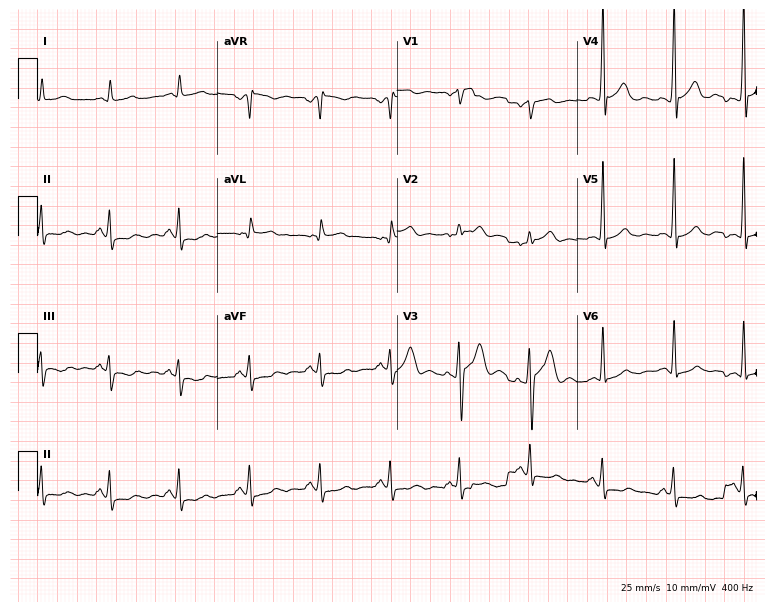
12-lead ECG from a male patient, 43 years old (7.3-second recording at 400 Hz). No first-degree AV block, right bundle branch block (RBBB), left bundle branch block (LBBB), sinus bradycardia, atrial fibrillation (AF) or sinus tachycardia recorded for this tracing.